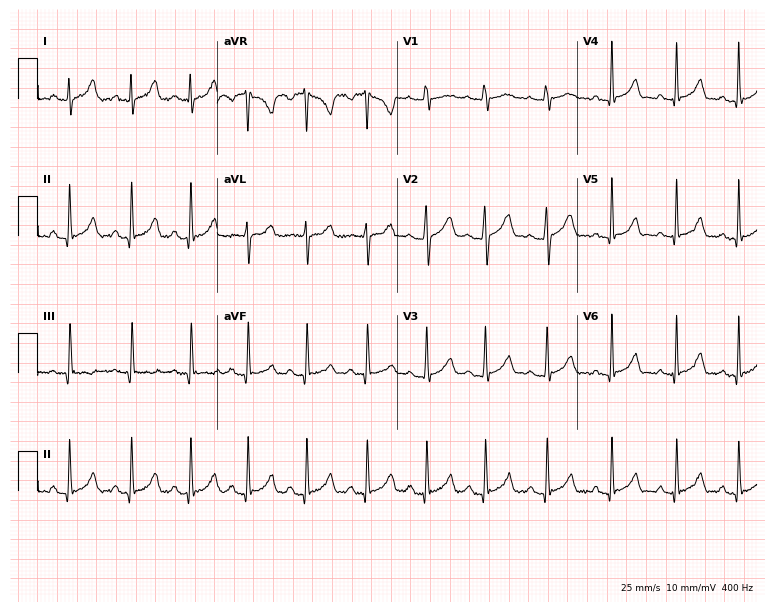
ECG — a female, 22 years old. Screened for six findings — first-degree AV block, right bundle branch block (RBBB), left bundle branch block (LBBB), sinus bradycardia, atrial fibrillation (AF), sinus tachycardia — none is recorded.